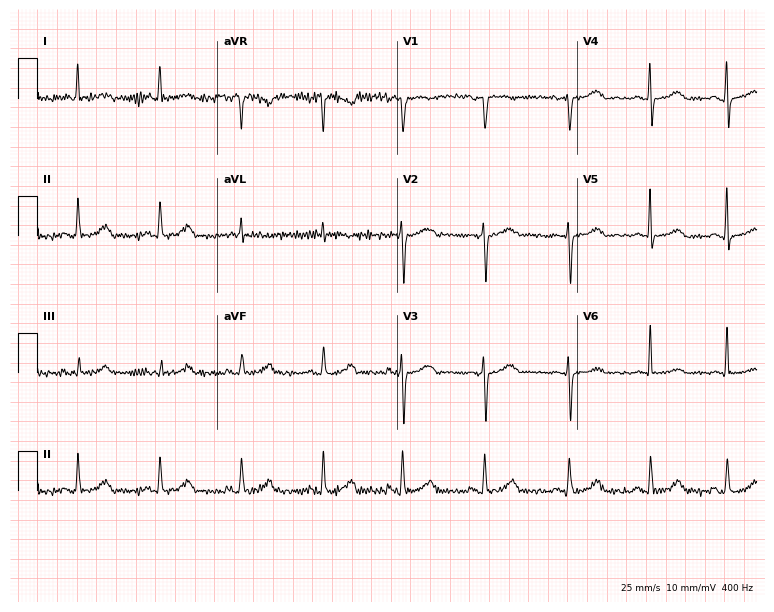
Electrocardiogram (7.3-second recording at 400 Hz), a 57-year-old woman. Of the six screened findings (first-degree AV block, right bundle branch block, left bundle branch block, sinus bradycardia, atrial fibrillation, sinus tachycardia), none is recorded. Only these six findings were labelled.